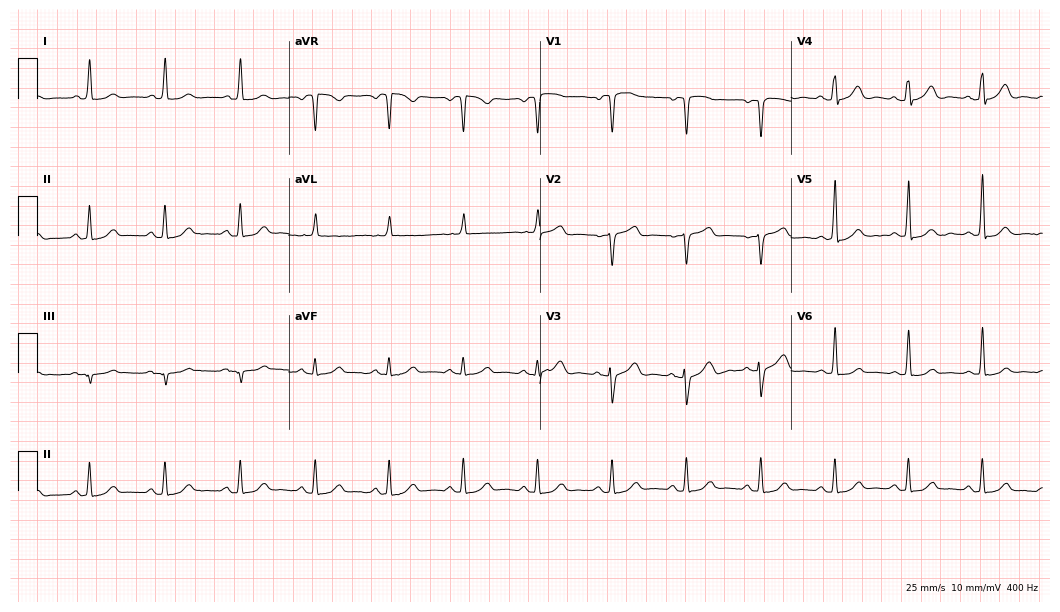
12-lead ECG (10.2-second recording at 400 Hz) from a female, 71 years old. Labelled as a normal ECG.